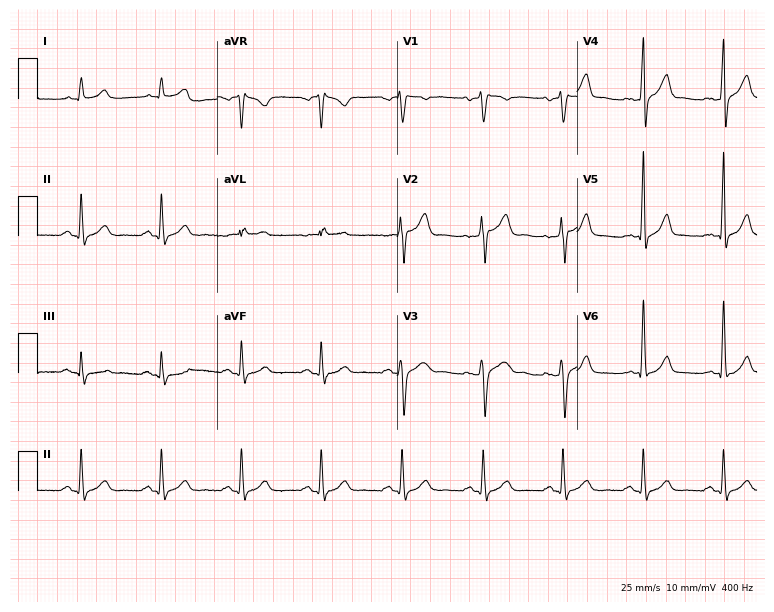
ECG — a man, 45 years old. Screened for six findings — first-degree AV block, right bundle branch block (RBBB), left bundle branch block (LBBB), sinus bradycardia, atrial fibrillation (AF), sinus tachycardia — none is recorded.